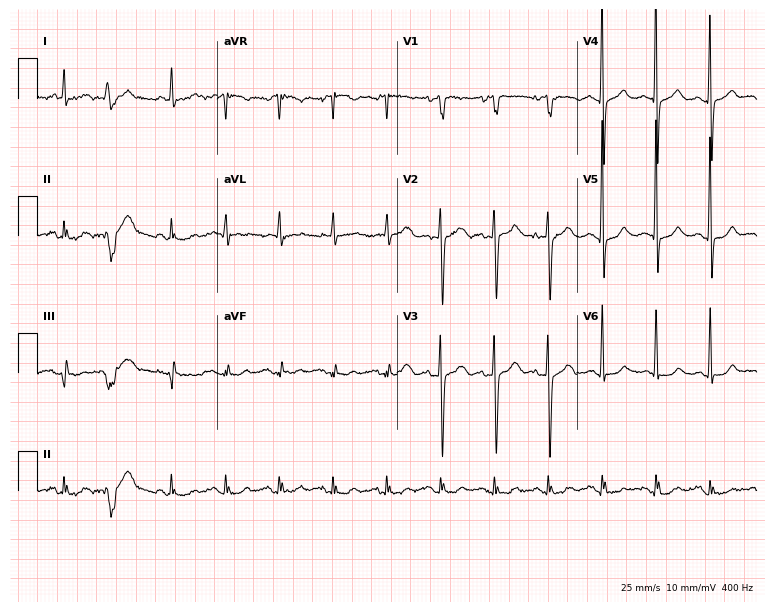
12-lead ECG from a 63-year-old female patient. No first-degree AV block, right bundle branch block, left bundle branch block, sinus bradycardia, atrial fibrillation or sinus tachycardia recorded for this tracing.